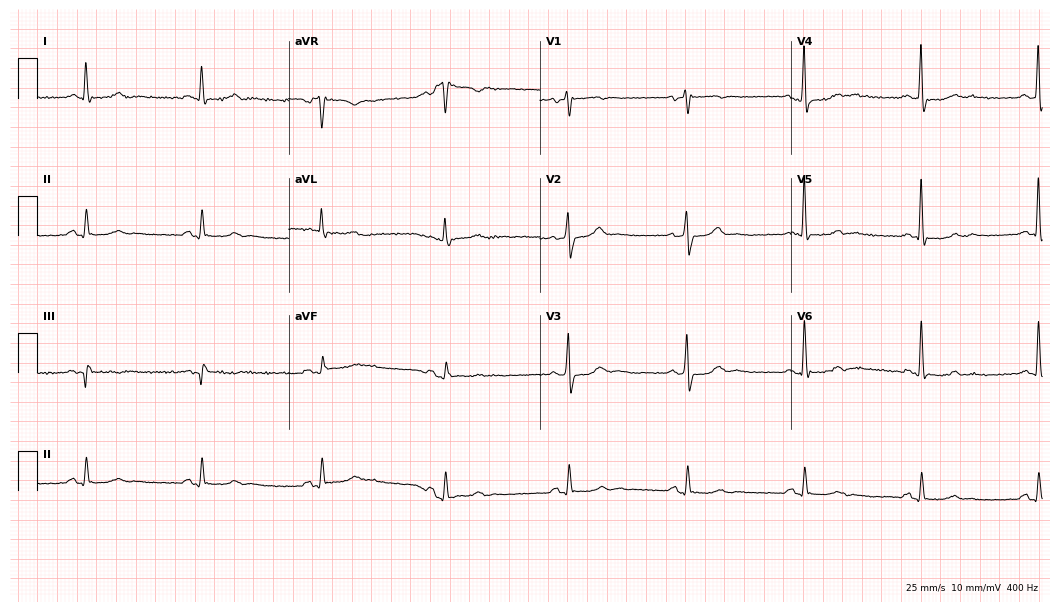
Electrocardiogram (10.2-second recording at 400 Hz), a male patient, 76 years old. Interpretation includes sinus bradycardia (a sinus rate of 50 beats per minute or less).